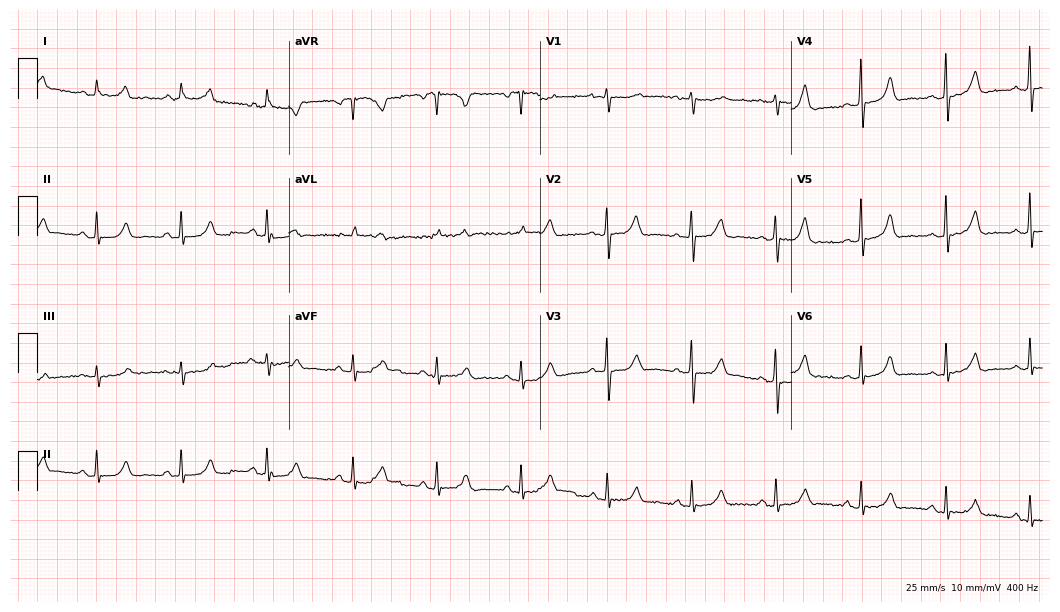
Standard 12-lead ECG recorded from a woman, 77 years old (10.2-second recording at 400 Hz). None of these six findings is recorded: first-degree AV block, right bundle branch block (RBBB), left bundle branch block (LBBB), sinus bradycardia, atrial fibrillation (AF), sinus tachycardia. Only these six findings were labelled.